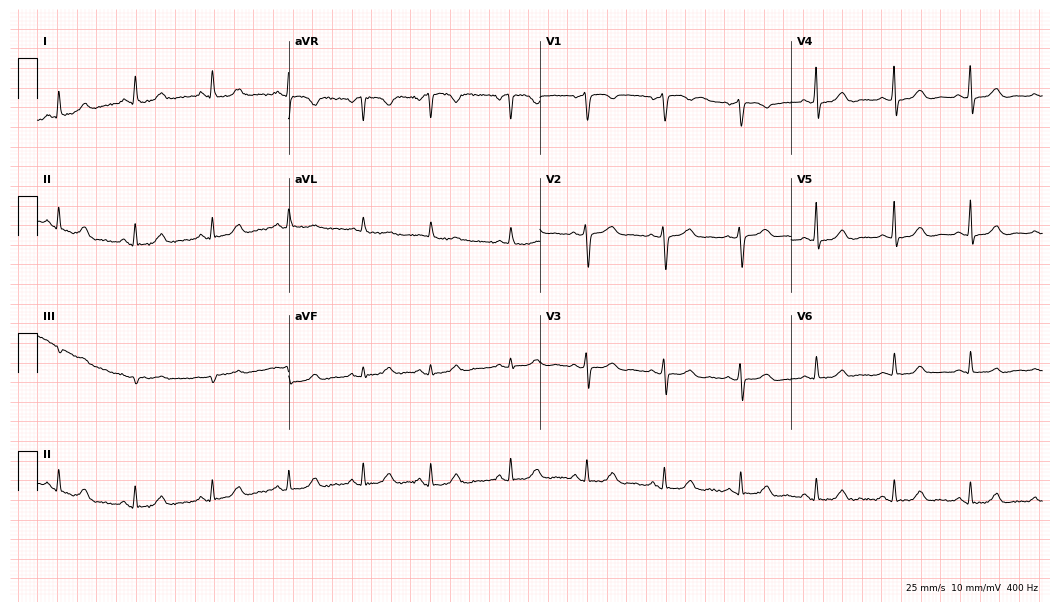
12-lead ECG from a female, 61 years old. Labelled as a normal ECG.